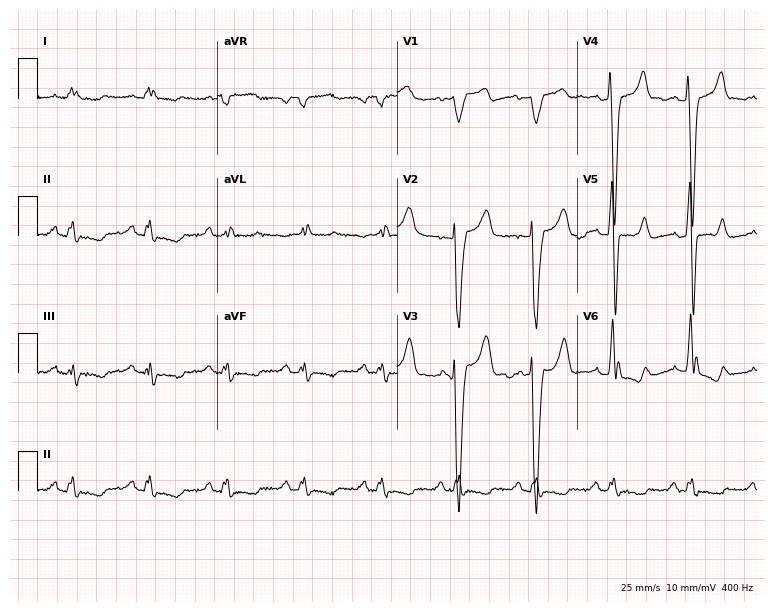
12-lead ECG from a male, 71 years old. Findings include left bundle branch block (LBBB).